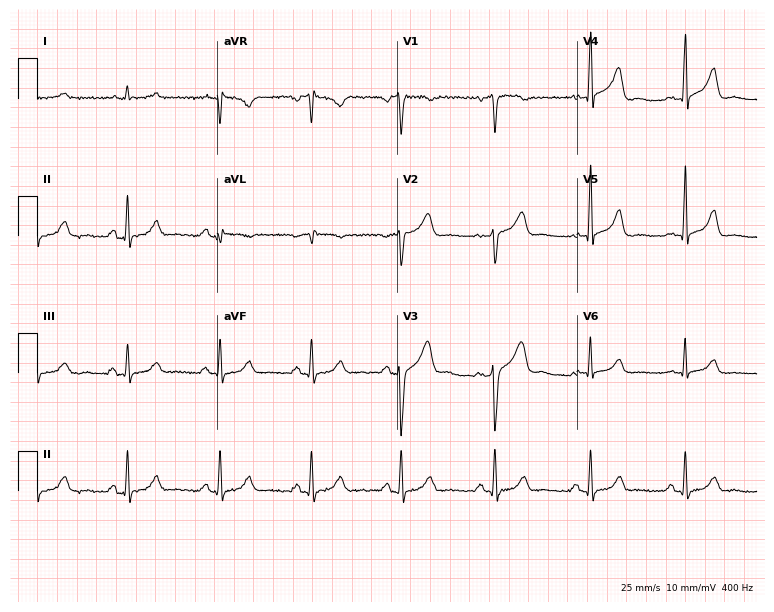
Electrocardiogram, a male, 64 years old. Overall reading on record: normal ECG.